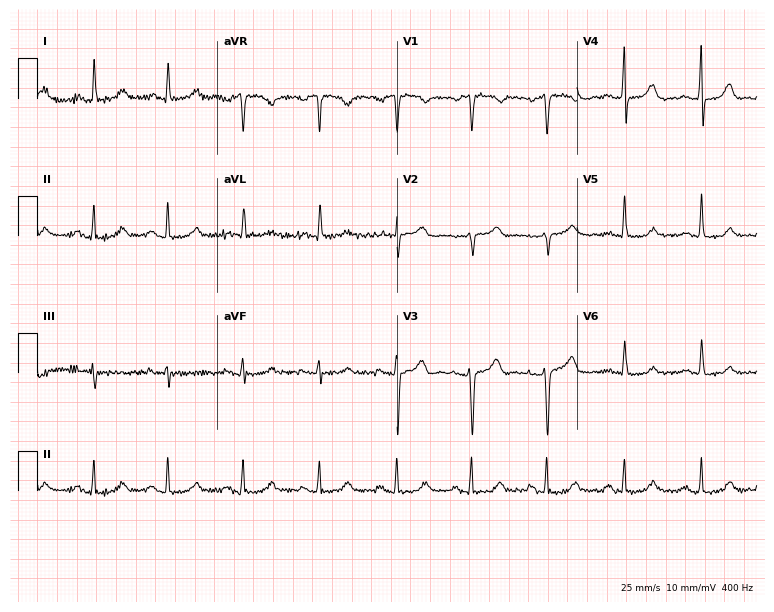
12-lead ECG from a 60-year-old woman. Labelled as a normal ECG.